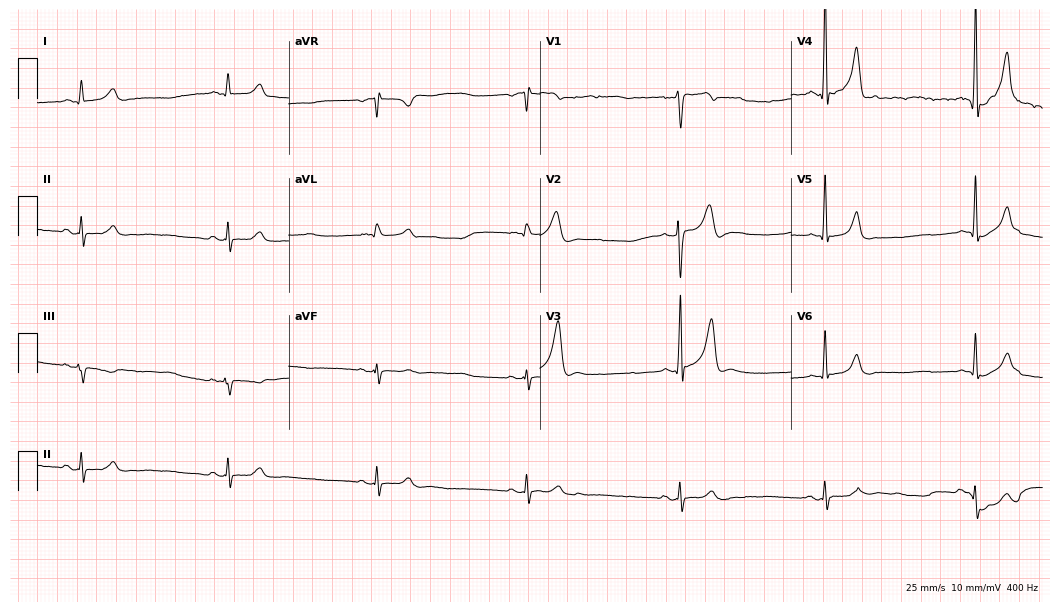
Standard 12-lead ECG recorded from a 22-year-old man. None of these six findings is recorded: first-degree AV block, right bundle branch block (RBBB), left bundle branch block (LBBB), sinus bradycardia, atrial fibrillation (AF), sinus tachycardia.